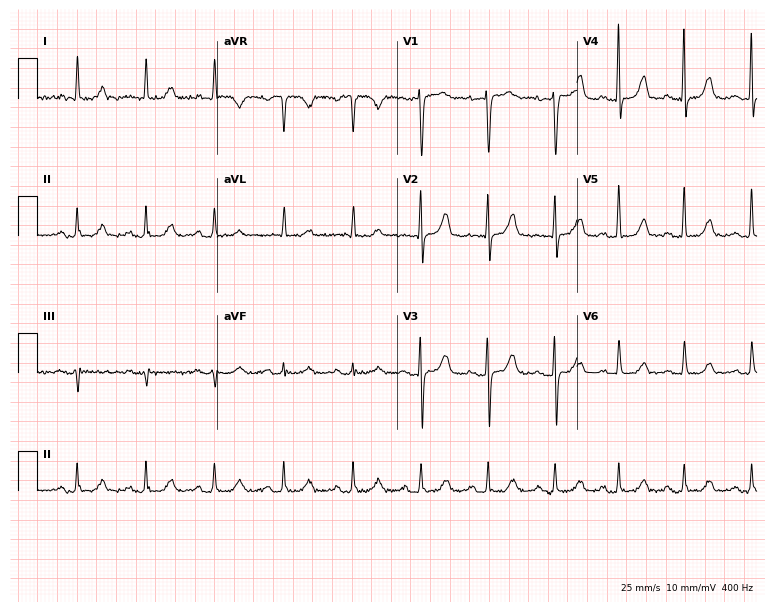
ECG (7.3-second recording at 400 Hz) — a woman, 69 years old. Labelled as a normal ECG.